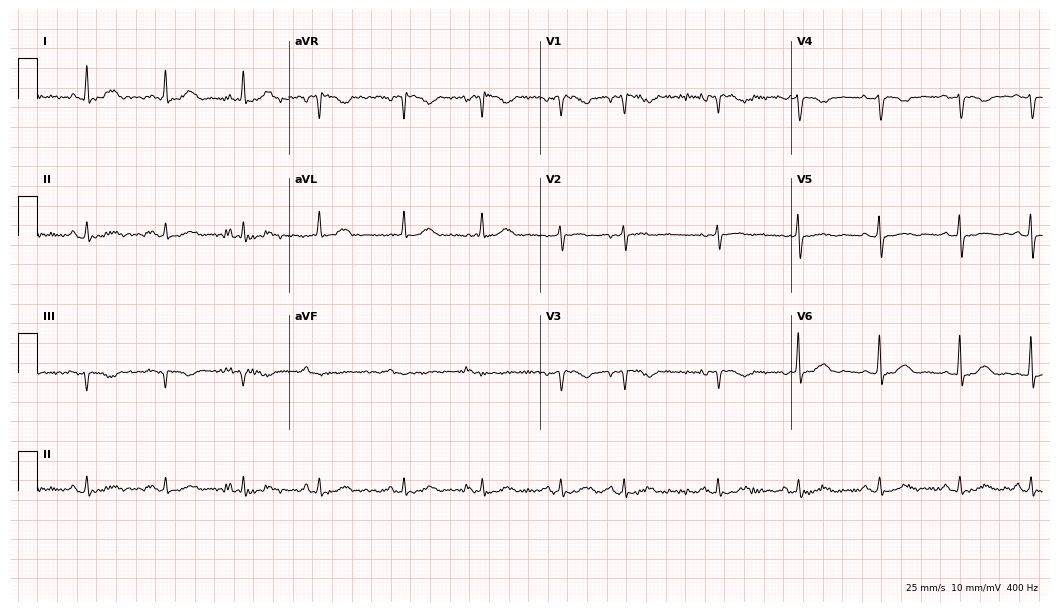
Electrocardiogram, a 59-year-old female patient. Of the six screened findings (first-degree AV block, right bundle branch block, left bundle branch block, sinus bradycardia, atrial fibrillation, sinus tachycardia), none is recorded.